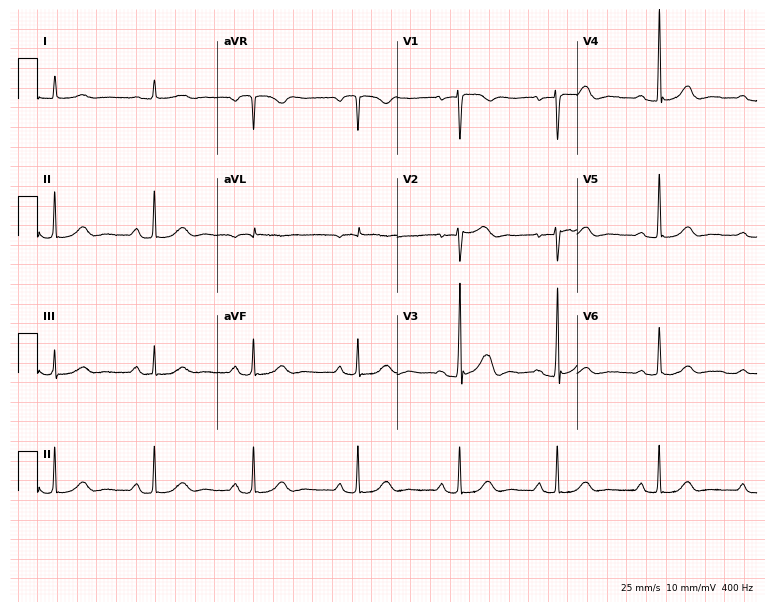
Resting 12-lead electrocardiogram (7.3-second recording at 400 Hz). Patient: a male, 71 years old. None of these six findings is recorded: first-degree AV block, right bundle branch block (RBBB), left bundle branch block (LBBB), sinus bradycardia, atrial fibrillation (AF), sinus tachycardia.